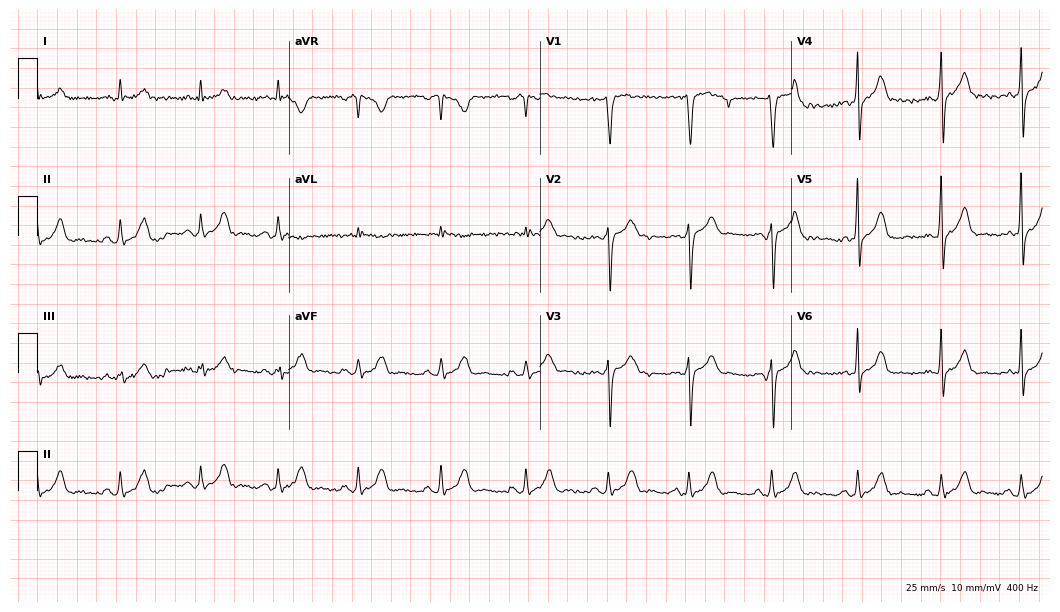
Resting 12-lead electrocardiogram. Patient: a 29-year-old man. Read as a normal ECG.